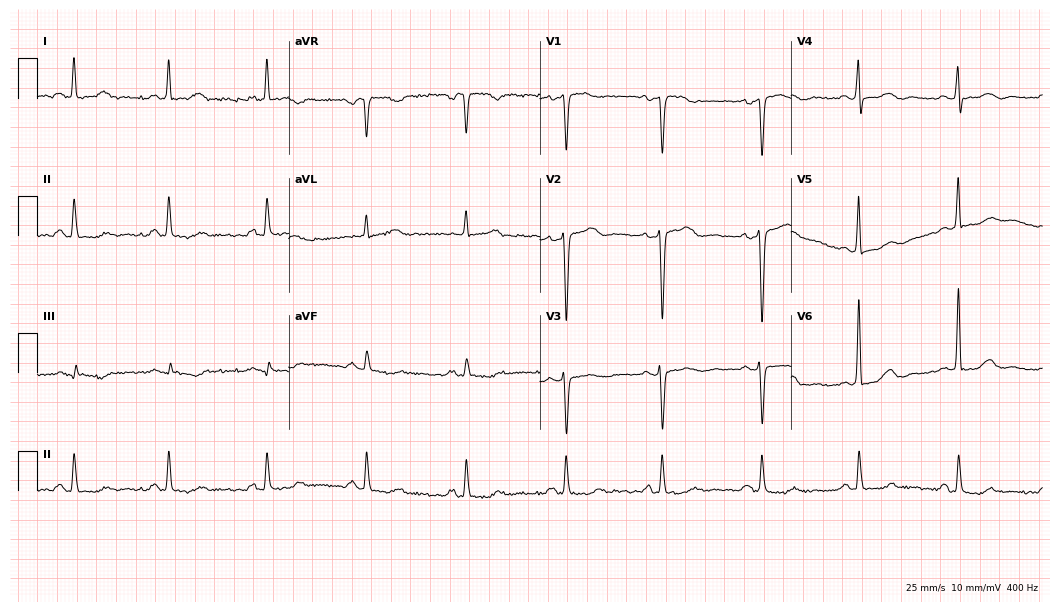
Standard 12-lead ECG recorded from a 38-year-old female patient. None of these six findings is recorded: first-degree AV block, right bundle branch block (RBBB), left bundle branch block (LBBB), sinus bradycardia, atrial fibrillation (AF), sinus tachycardia.